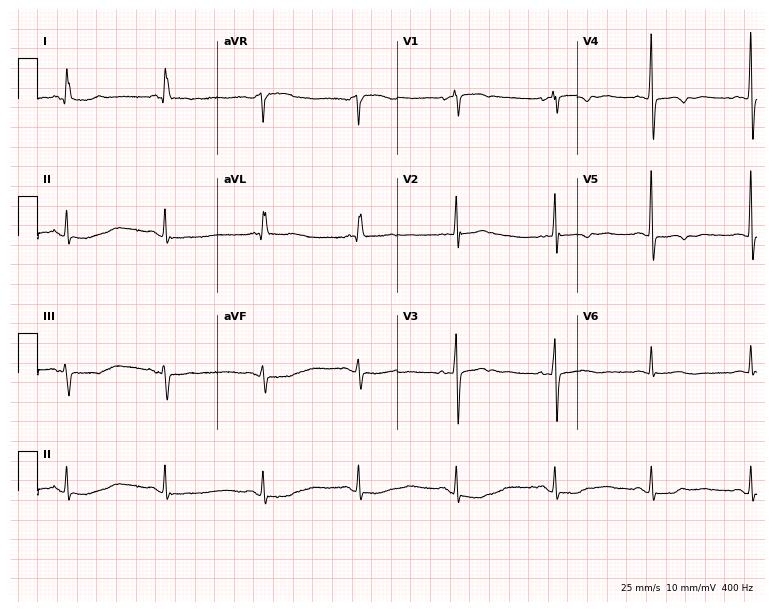
12-lead ECG from a female, 70 years old. Screened for six findings — first-degree AV block, right bundle branch block, left bundle branch block, sinus bradycardia, atrial fibrillation, sinus tachycardia — none is recorded. Other findings, if any, are not listed.